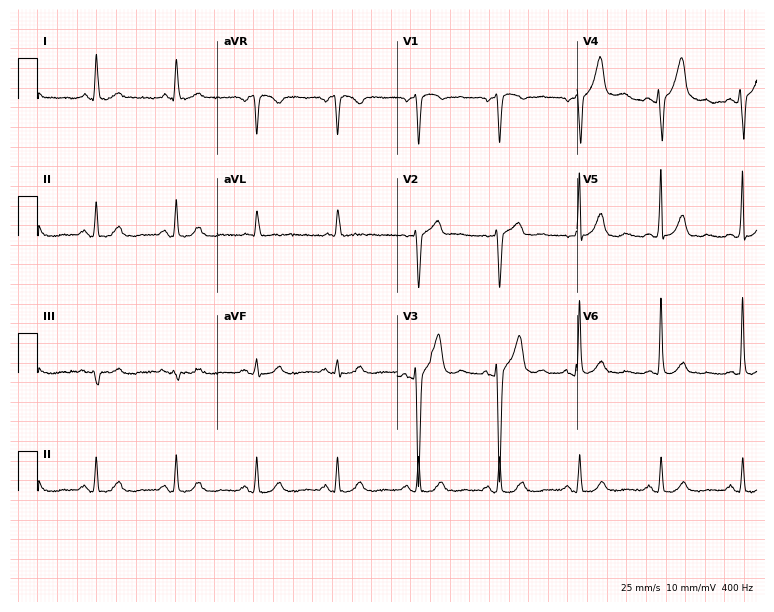
ECG — a male, 63 years old. Screened for six findings — first-degree AV block, right bundle branch block, left bundle branch block, sinus bradycardia, atrial fibrillation, sinus tachycardia — none is recorded. Findings outside these six are not listed.